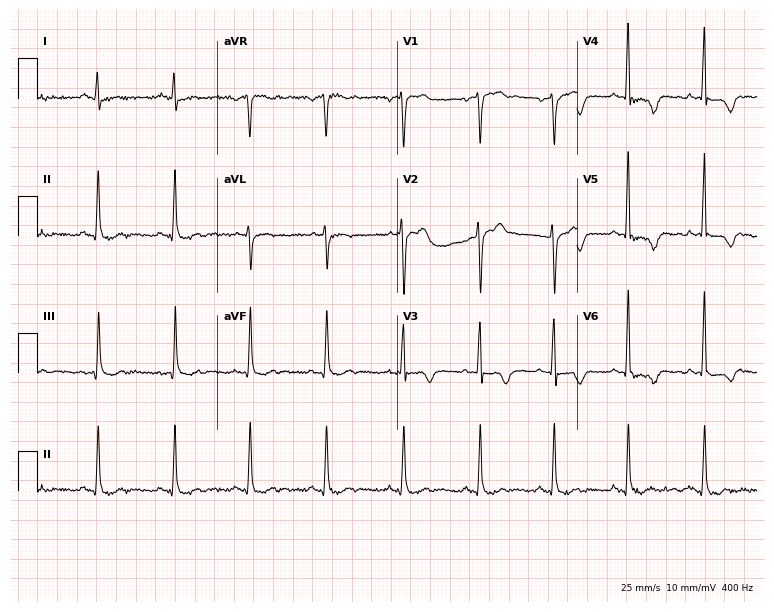
12-lead ECG from a female patient, 49 years old. No first-degree AV block, right bundle branch block (RBBB), left bundle branch block (LBBB), sinus bradycardia, atrial fibrillation (AF) or sinus tachycardia recorded for this tracing. Only these six findings were labelled.